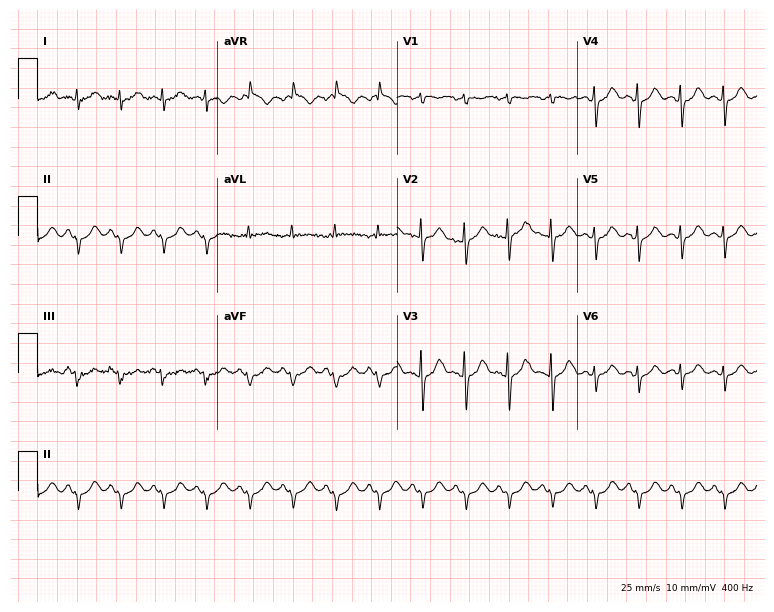
12-lead ECG (7.3-second recording at 400 Hz) from a 42-year-old woman. Findings include sinus tachycardia (a sinus rate of 100 beats per minute or more).